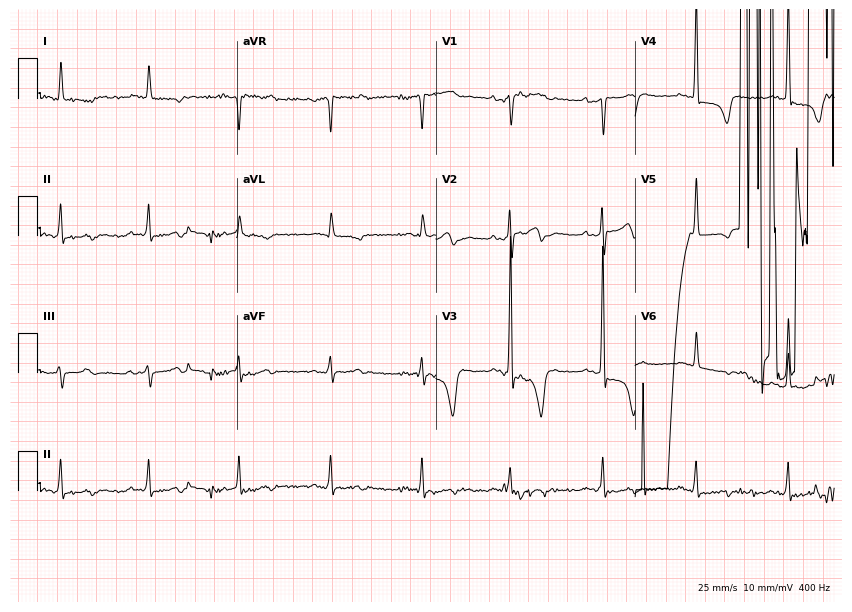
Standard 12-lead ECG recorded from a 71-year-old female patient (8.1-second recording at 400 Hz). None of these six findings is recorded: first-degree AV block, right bundle branch block, left bundle branch block, sinus bradycardia, atrial fibrillation, sinus tachycardia.